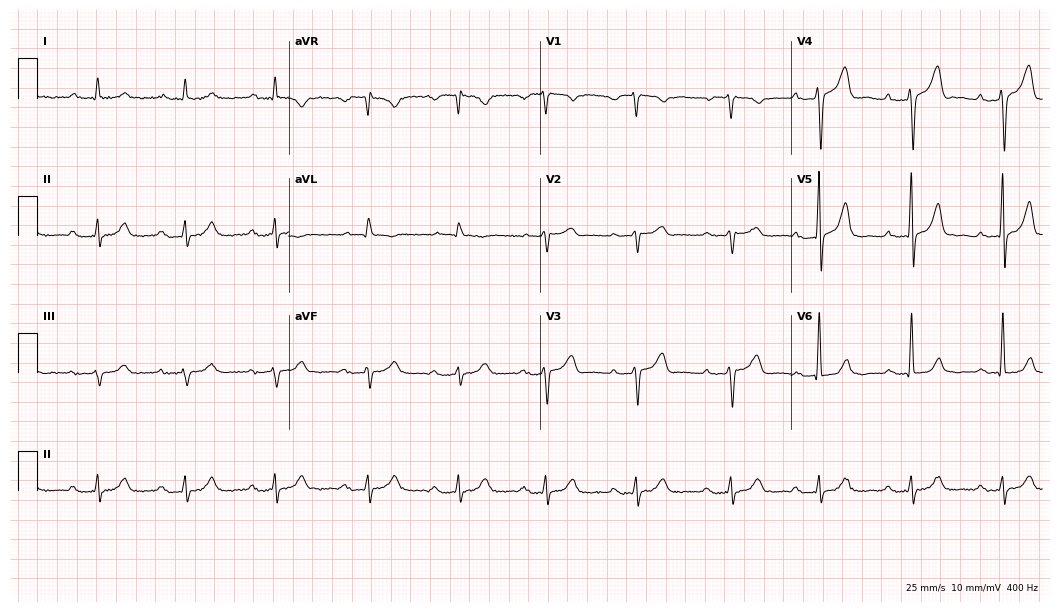
Resting 12-lead electrocardiogram. Patient: a male, 52 years old. None of these six findings is recorded: first-degree AV block, right bundle branch block, left bundle branch block, sinus bradycardia, atrial fibrillation, sinus tachycardia. Findings outside these six are not listed.